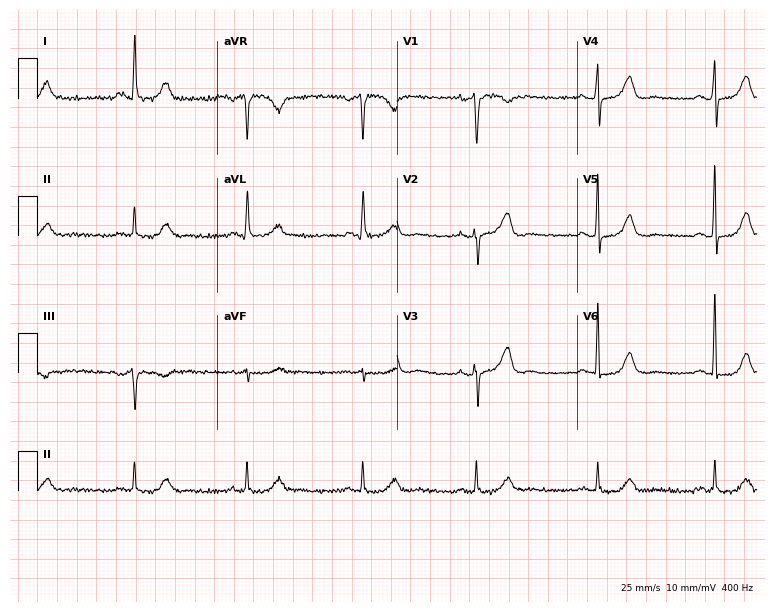
12-lead ECG from a 63-year-old female. No first-degree AV block, right bundle branch block, left bundle branch block, sinus bradycardia, atrial fibrillation or sinus tachycardia recorded for this tracing.